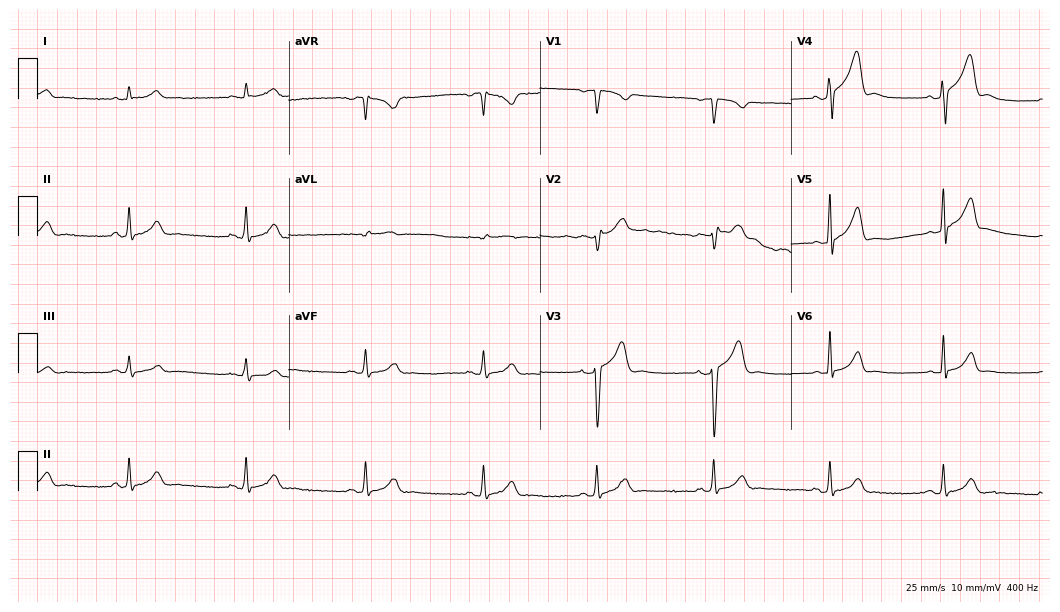
ECG (10.2-second recording at 400 Hz) — a 53-year-old man. Screened for six findings — first-degree AV block, right bundle branch block, left bundle branch block, sinus bradycardia, atrial fibrillation, sinus tachycardia — none is recorded. Findings outside these six are not listed.